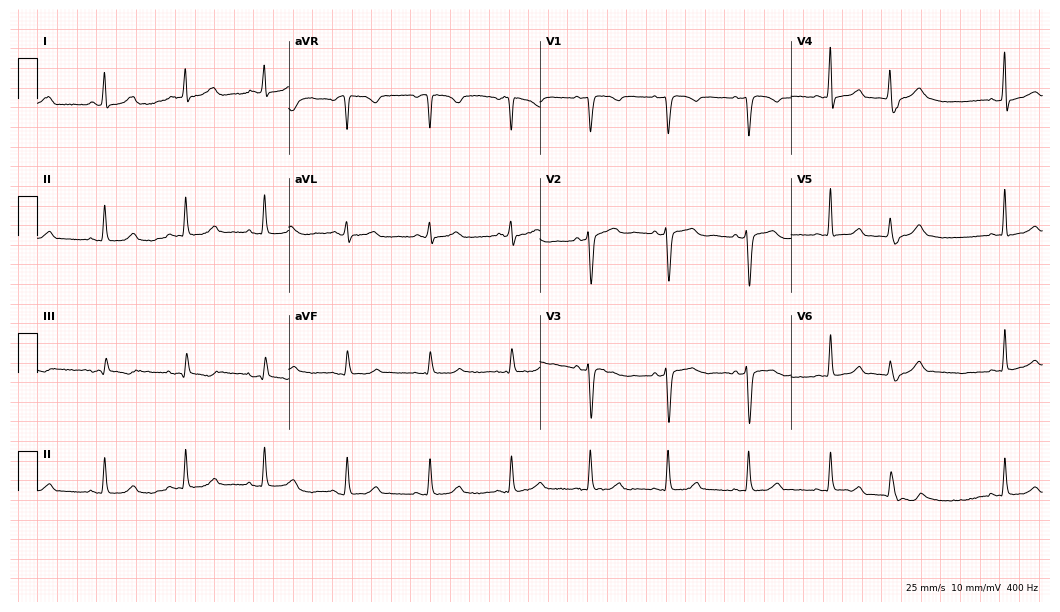
ECG — a 51-year-old female patient. Labelled as a normal ECG.